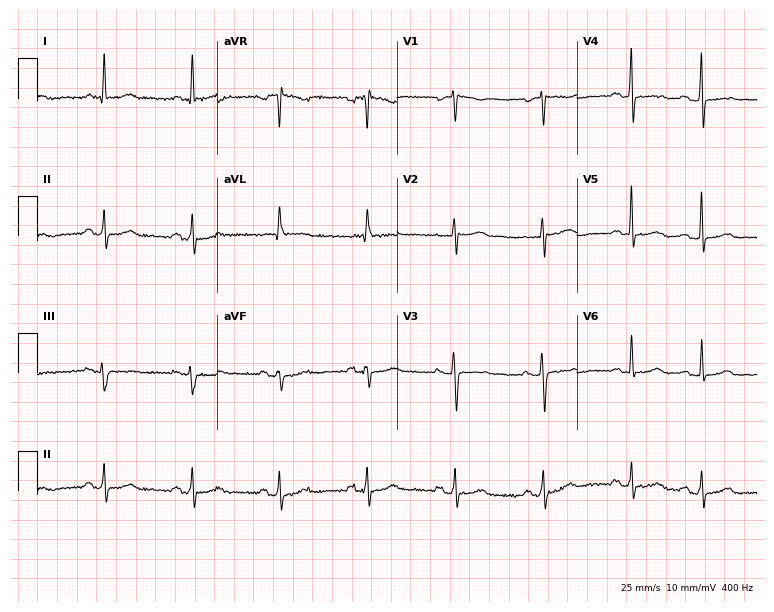
Resting 12-lead electrocardiogram. Patient: a woman, 74 years old. None of these six findings is recorded: first-degree AV block, right bundle branch block, left bundle branch block, sinus bradycardia, atrial fibrillation, sinus tachycardia. Other findings, if any, are not listed.